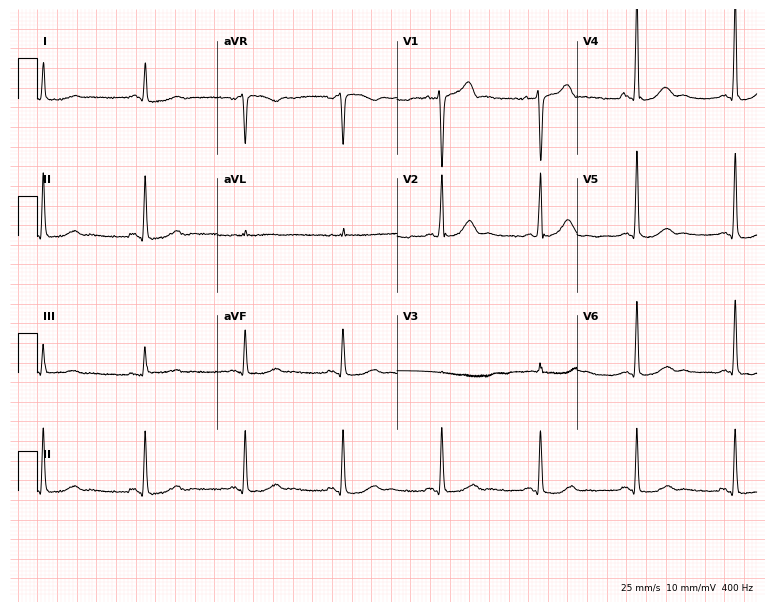
Electrocardiogram (7.3-second recording at 400 Hz), a male, 69 years old. Of the six screened findings (first-degree AV block, right bundle branch block, left bundle branch block, sinus bradycardia, atrial fibrillation, sinus tachycardia), none is recorded.